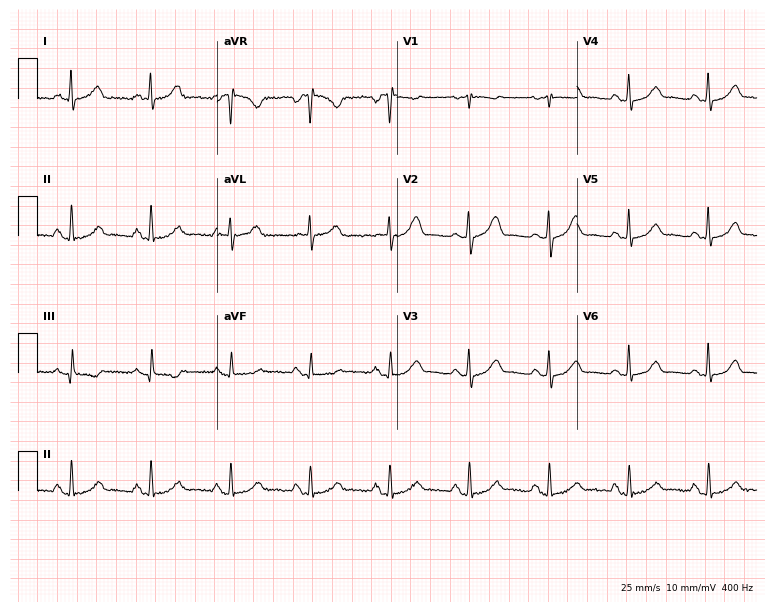
Standard 12-lead ECG recorded from a female, 76 years old. Read as a normal ECG.